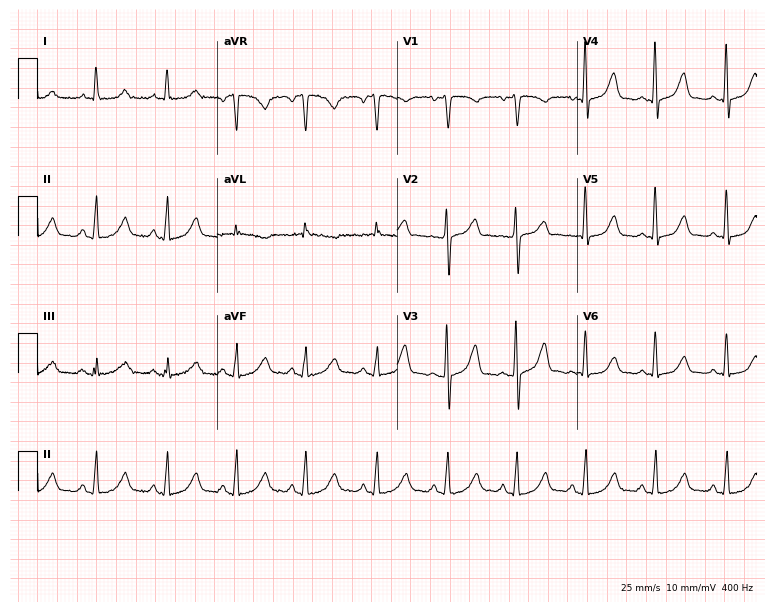
12-lead ECG (7.3-second recording at 400 Hz) from a 35-year-old female patient. Labelled as a normal ECG.